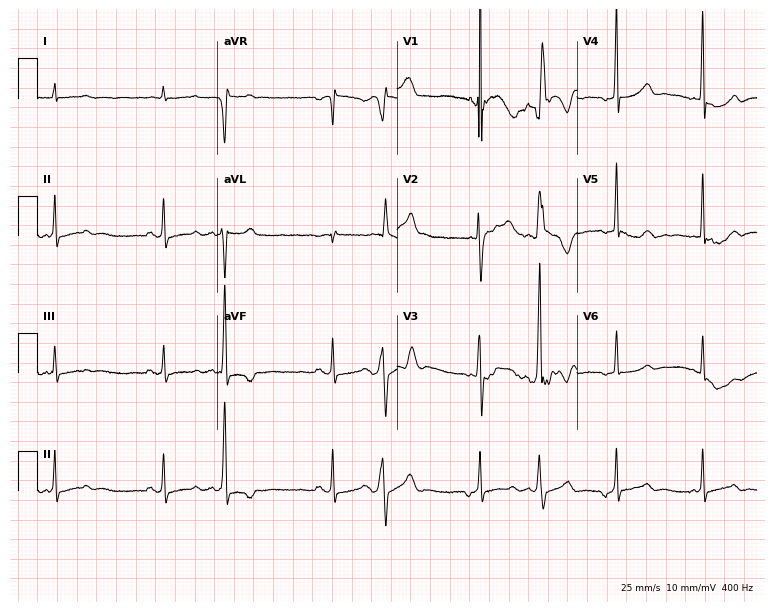
Standard 12-lead ECG recorded from a male, 45 years old. None of these six findings is recorded: first-degree AV block, right bundle branch block, left bundle branch block, sinus bradycardia, atrial fibrillation, sinus tachycardia.